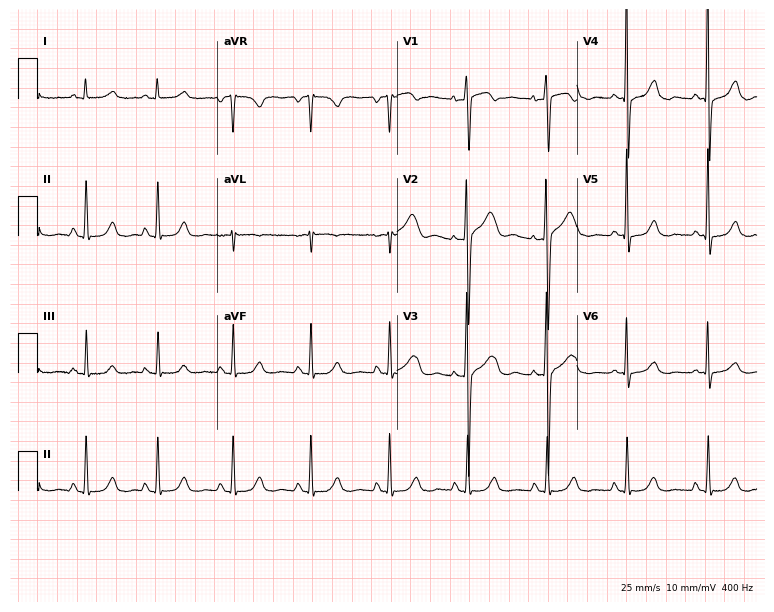
Resting 12-lead electrocardiogram (7.3-second recording at 400 Hz). Patient: a 46-year-old female. None of these six findings is recorded: first-degree AV block, right bundle branch block, left bundle branch block, sinus bradycardia, atrial fibrillation, sinus tachycardia. Other findings, if any, are not listed.